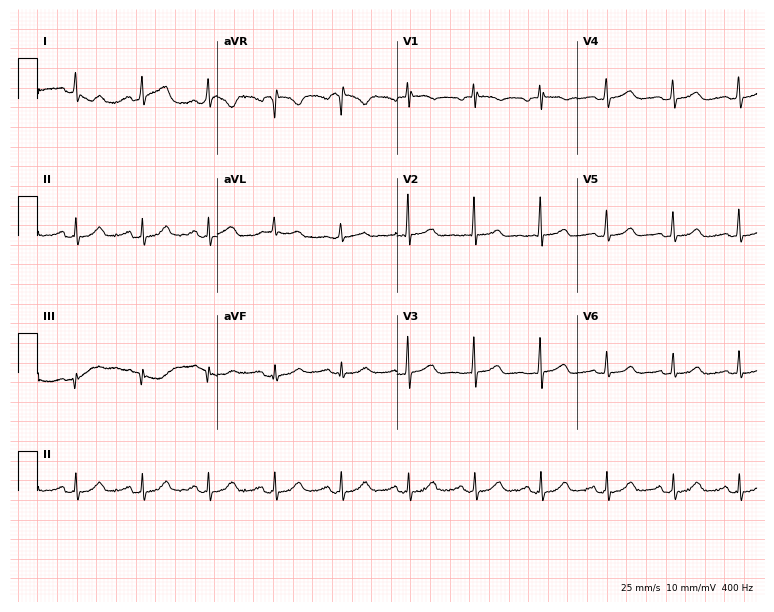
Electrocardiogram (7.3-second recording at 400 Hz), a female patient, 78 years old. Of the six screened findings (first-degree AV block, right bundle branch block (RBBB), left bundle branch block (LBBB), sinus bradycardia, atrial fibrillation (AF), sinus tachycardia), none is recorded. Findings outside these six are not listed.